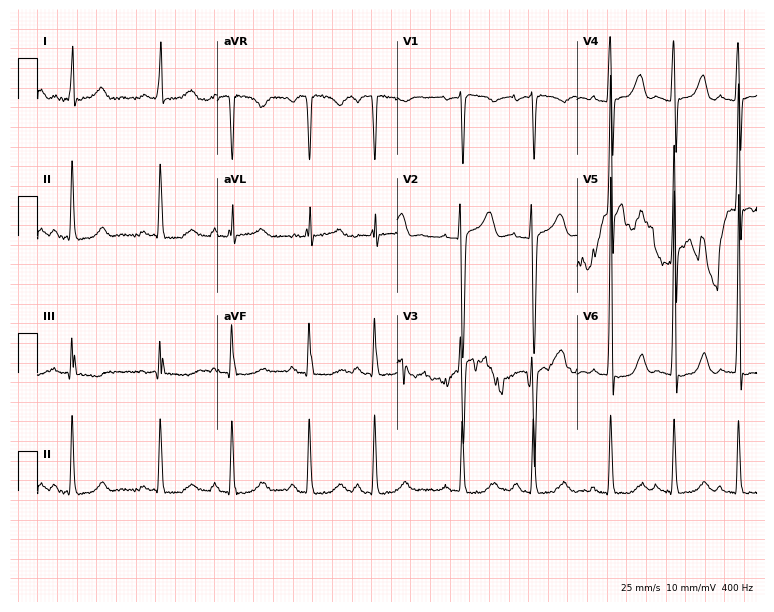
12-lead ECG from a 63-year-old woman. No first-degree AV block, right bundle branch block, left bundle branch block, sinus bradycardia, atrial fibrillation or sinus tachycardia recorded for this tracing.